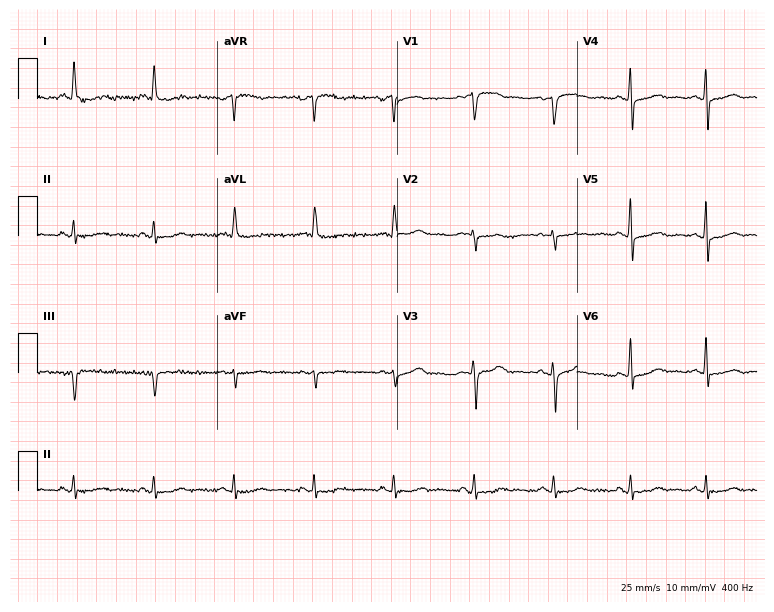
ECG — a 61-year-old female patient. Screened for six findings — first-degree AV block, right bundle branch block, left bundle branch block, sinus bradycardia, atrial fibrillation, sinus tachycardia — none is recorded.